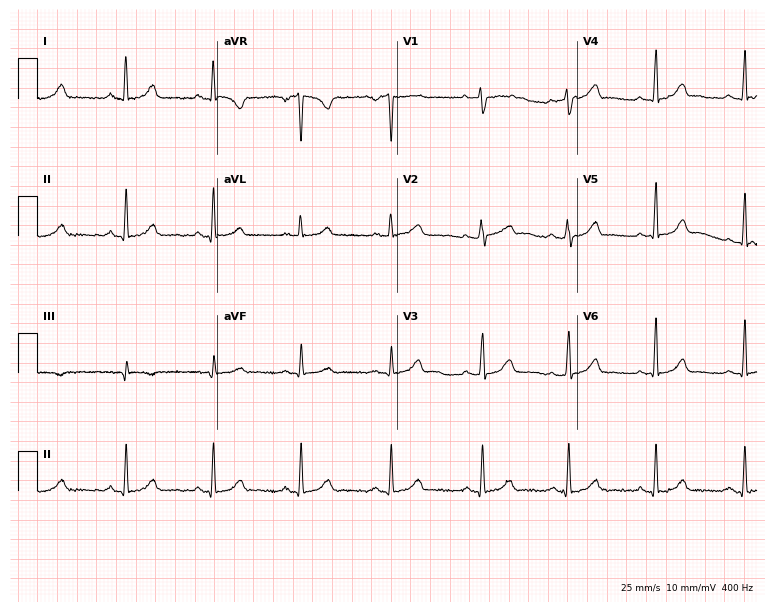
Electrocardiogram (7.3-second recording at 400 Hz), a 32-year-old woman. Overall reading on record: normal ECG.